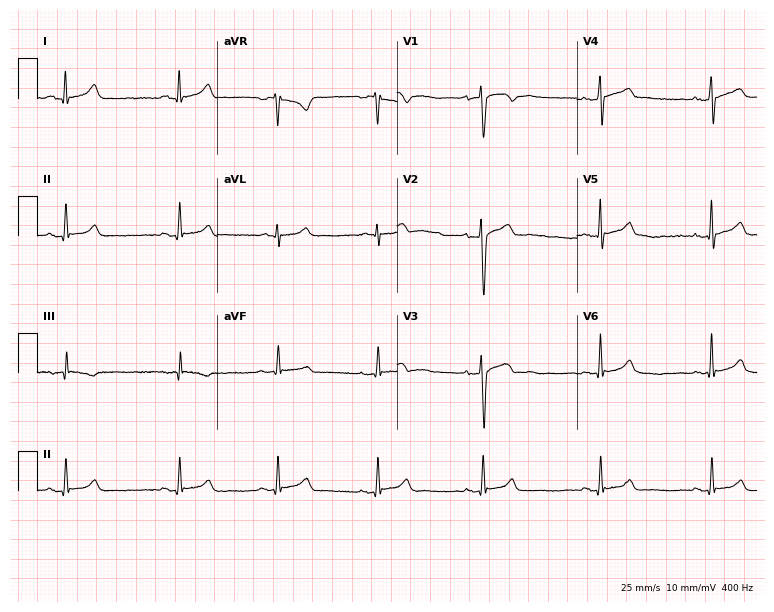
12-lead ECG from a 26-year-old male patient (7.3-second recording at 400 Hz). Recorded interpretation: within normal limits.